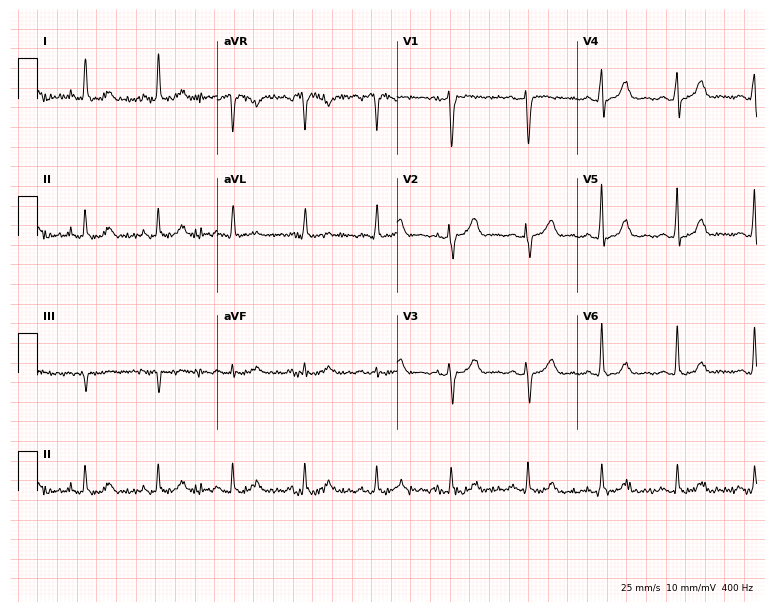
12-lead ECG from a 53-year-old woman (7.3-second recording at 400 Hz). Recorded interpretation: within normal limits.